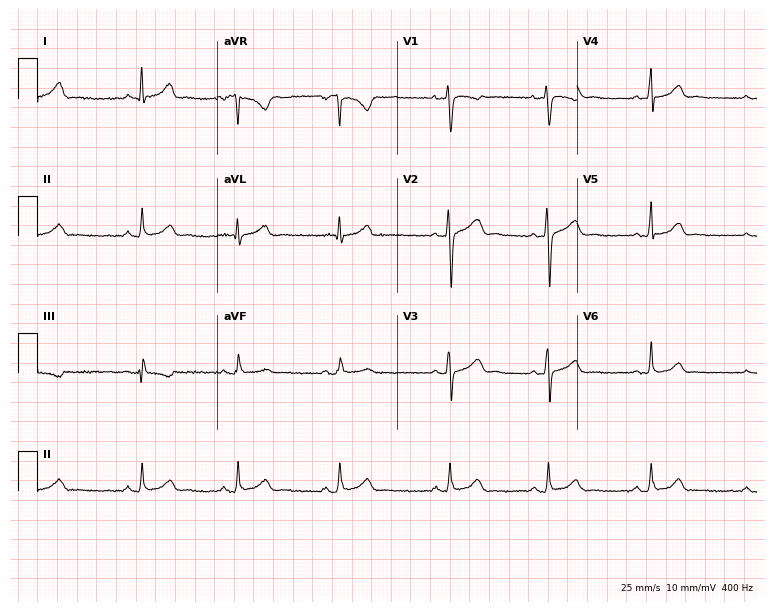
12-lead ECG (7.3-second recording at 400 Hz) from a 34-year-old female patient. Labelled as a normal ECG.